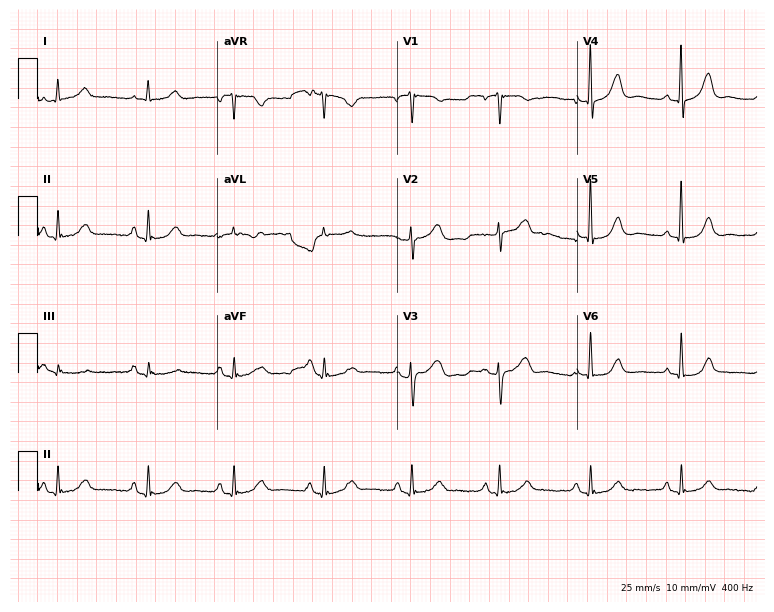
Resting 12-lead electrocardiogram (7.3-second recording at 400 Hz). Patient: a 67-year-old female. Read as a normal ECG.